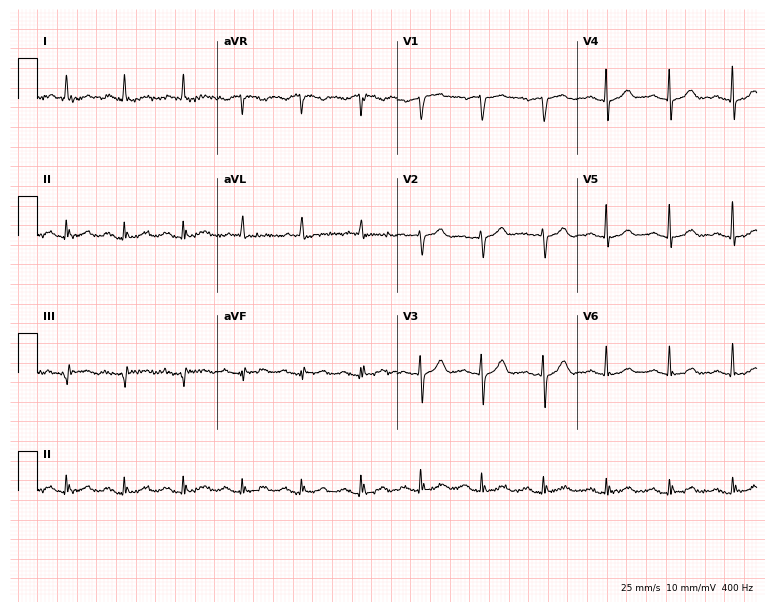
12-lead ECG (7.3-second recording at 400 Hz) from a 79-year-old male. Labelled as a normal ECG.